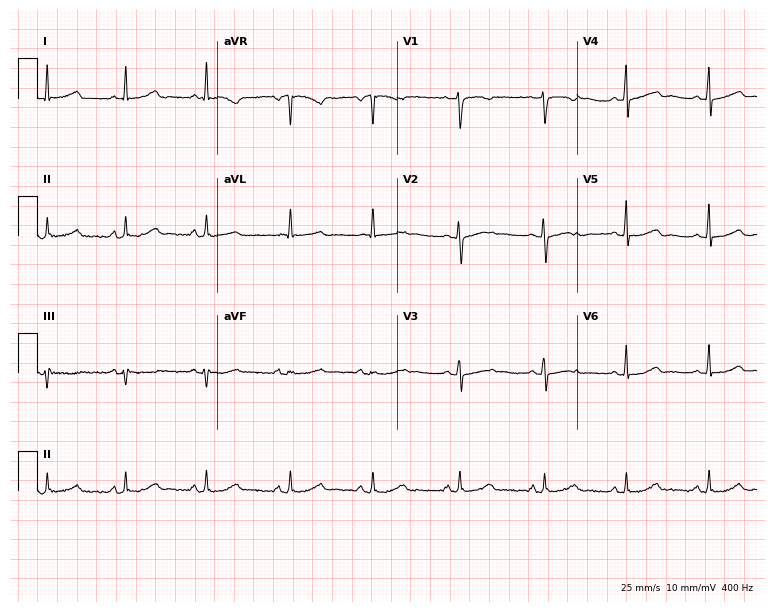
ECG — a 55-year-old female. Labelled as a normal ECG.